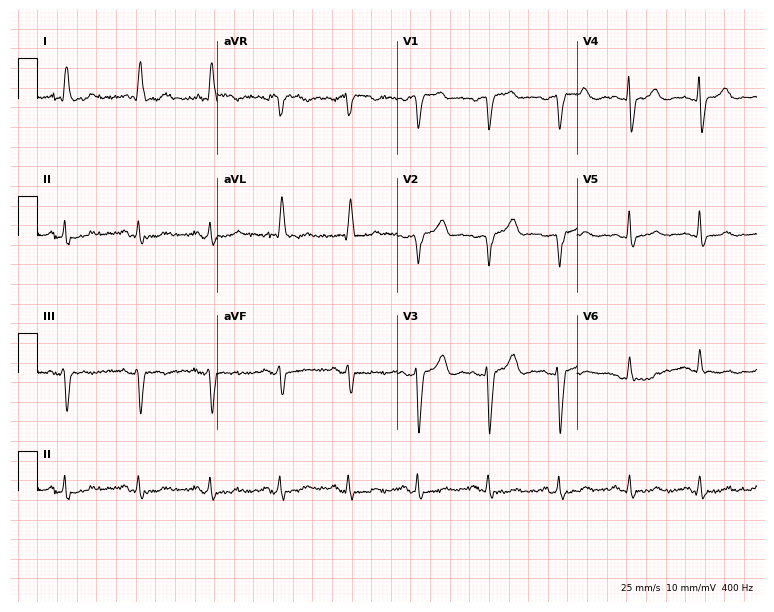
Resting 12-lead electrocardiogram (7.3-second recording at 400 Hz). Patient: a 76-year-old woman. None of these six findings is recorded: first-degree AV block, right bundle branch block, left bundle branch block, sinus bradycardia, atrial fibrillation, sinus tachycardia.